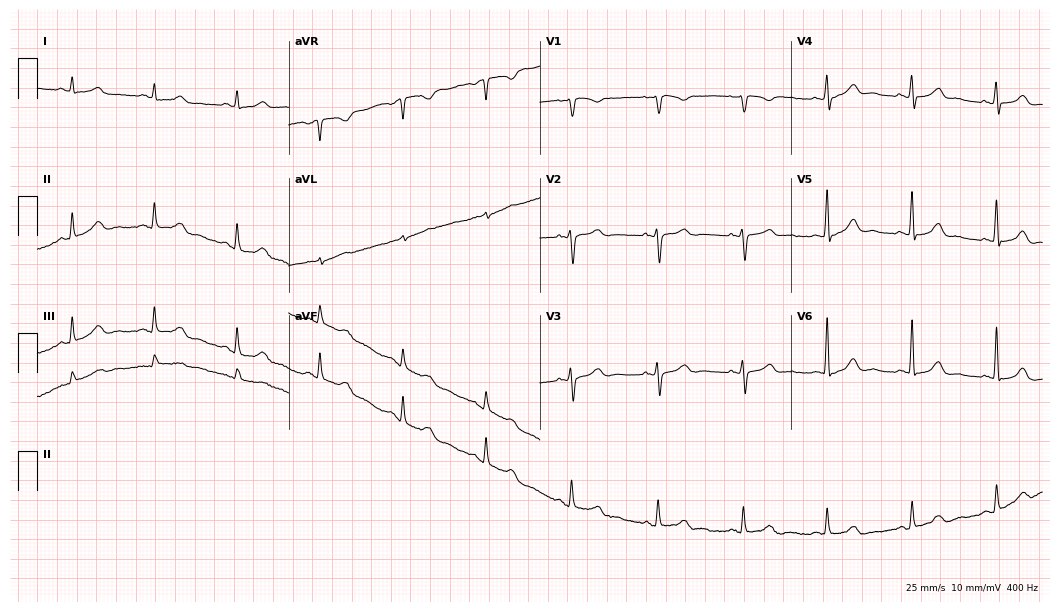
12-lead ECG from a female, 53 years old. Screened for six findings — first-degree AV block, right bundle branch block, left bundle branch block, sinus bradycardia, atrial fibrillation, sinus tachycardia — none is recorded.